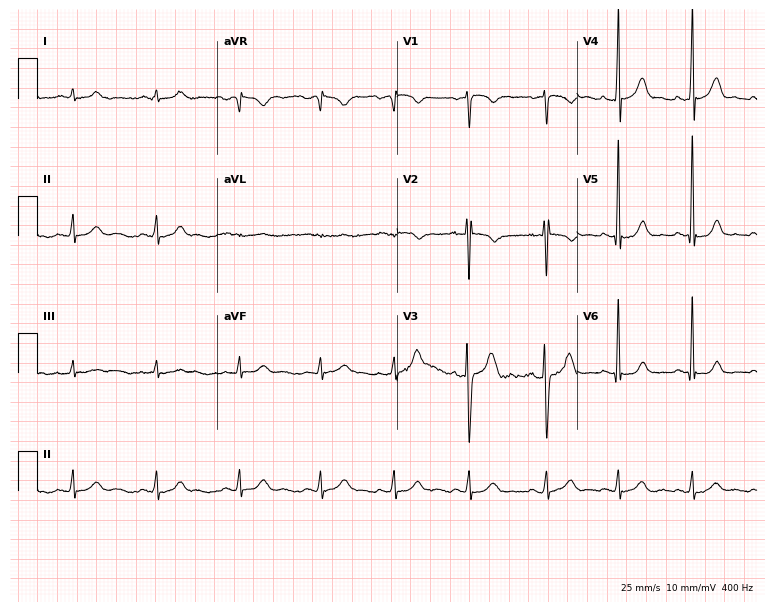
12-lead ECG from a 26-year-old male (7.3-second recording at 400 Hz). Recorded interpretation: within normal limits.